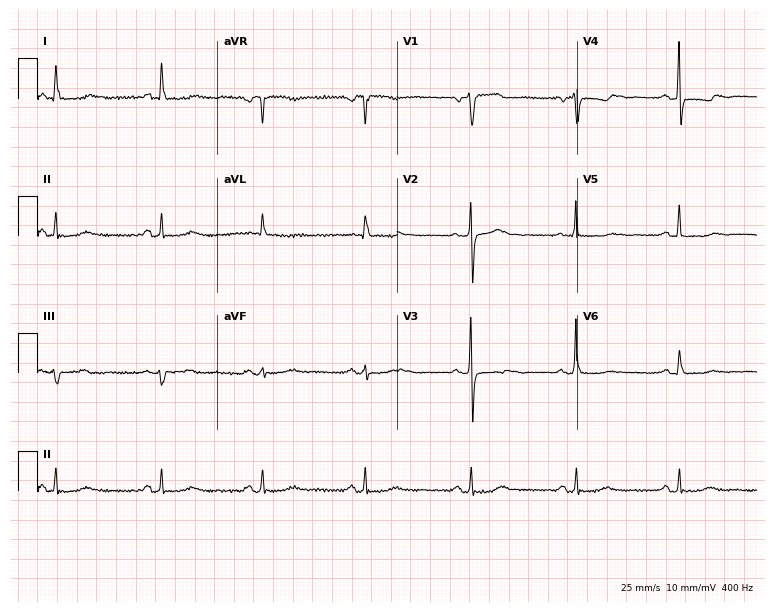
Electrocardiogram (7.3-second recording at 400 Hz), a 66-year-old female. Of the six screened findings (first-degree AV block, right bundle branch block (RBBB), left bundle branch block (LBBB), sinus bradycardia, atrial fibrillation (AF), sinus tachycardia), none is recorded.